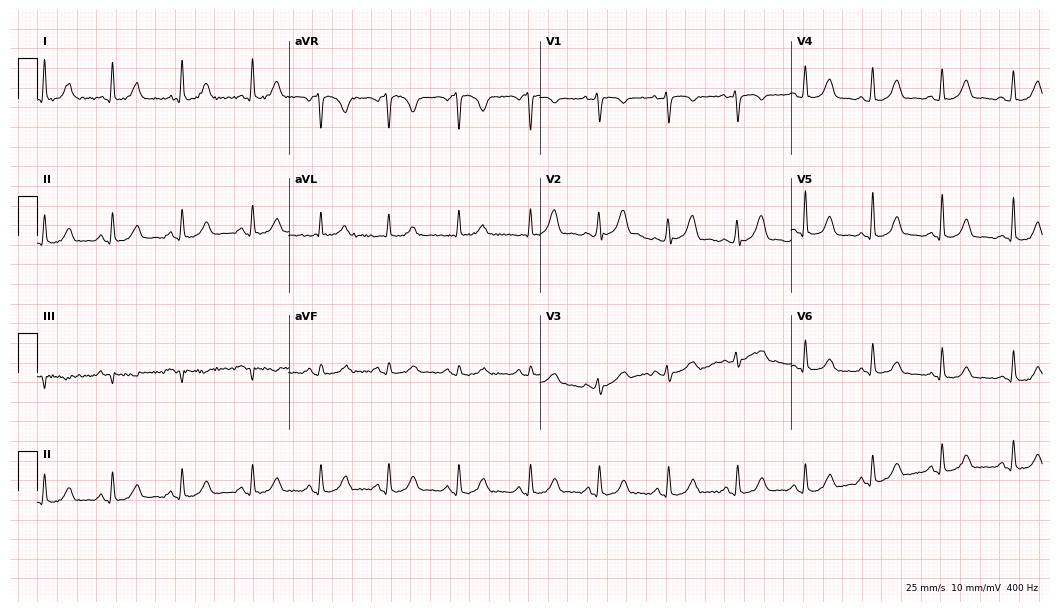
Standard 12-lead ECG recorded from a 51-year-old woman (10.2-second recording at 400 Hz). Read as a normal ECG.